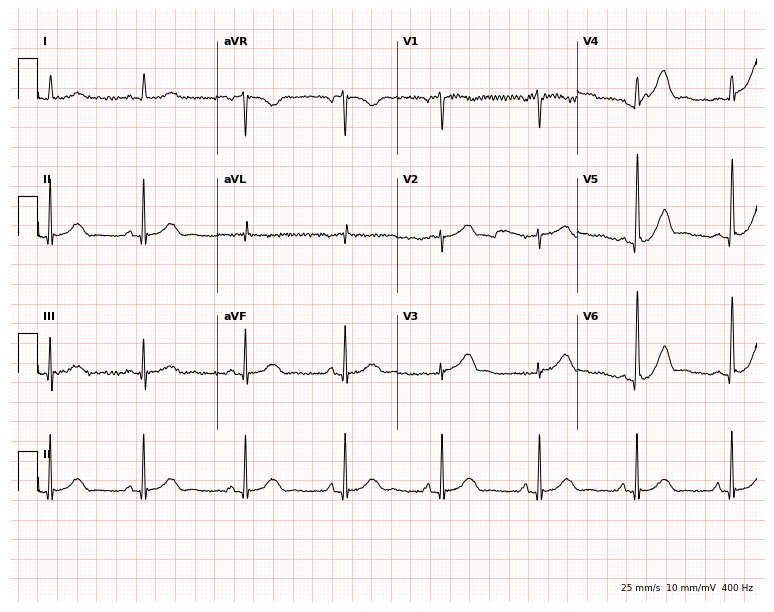
Standard 12-lead ECG recorded from a man, 72 years old (7.3-second recording at 400 Hz). Read as a normal ECG.